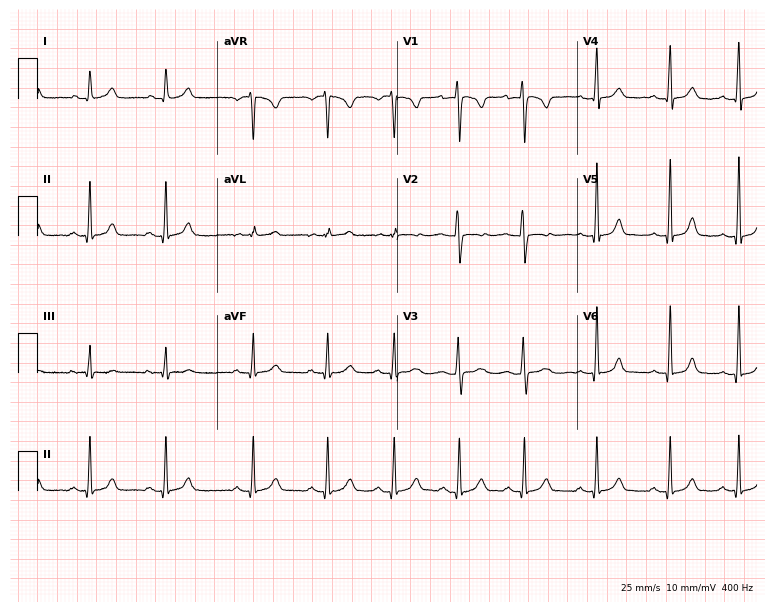
Standard 12-lead ECG recorded from a 25-year-old woman. Read as a normal ECG.